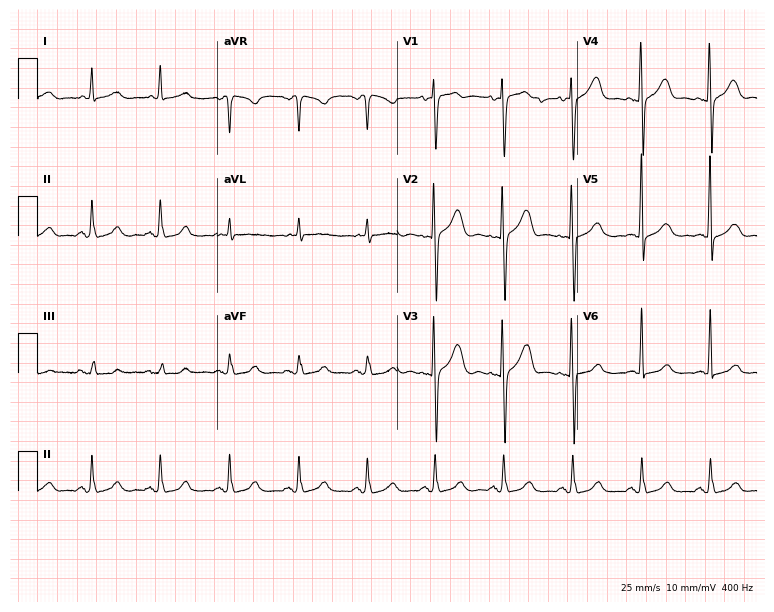
Resting 12-lead electrocardiogram (7.3-second recording at 400 Hz). Patient: a woman, 75 years old. Read as a normal ECG.